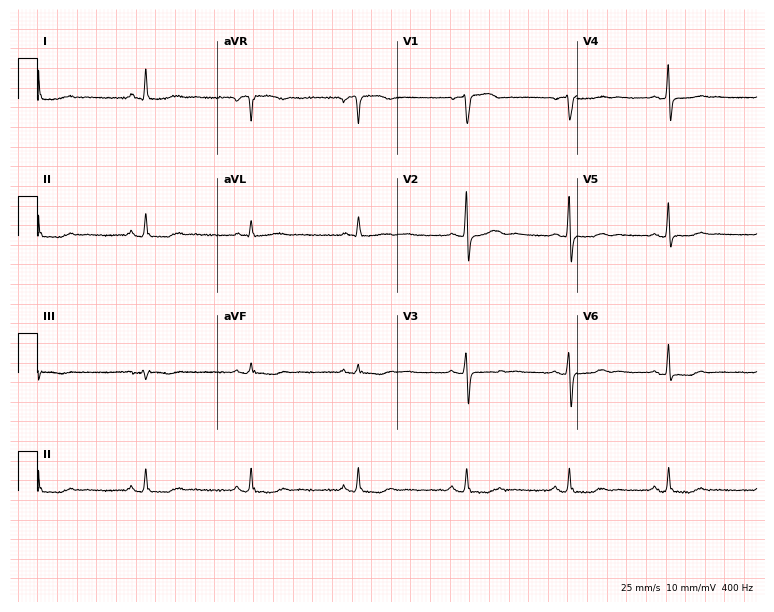
Resting 12-lead electrocardiogram. Patient: a woman, 61 years old. Read as a normal ECG.